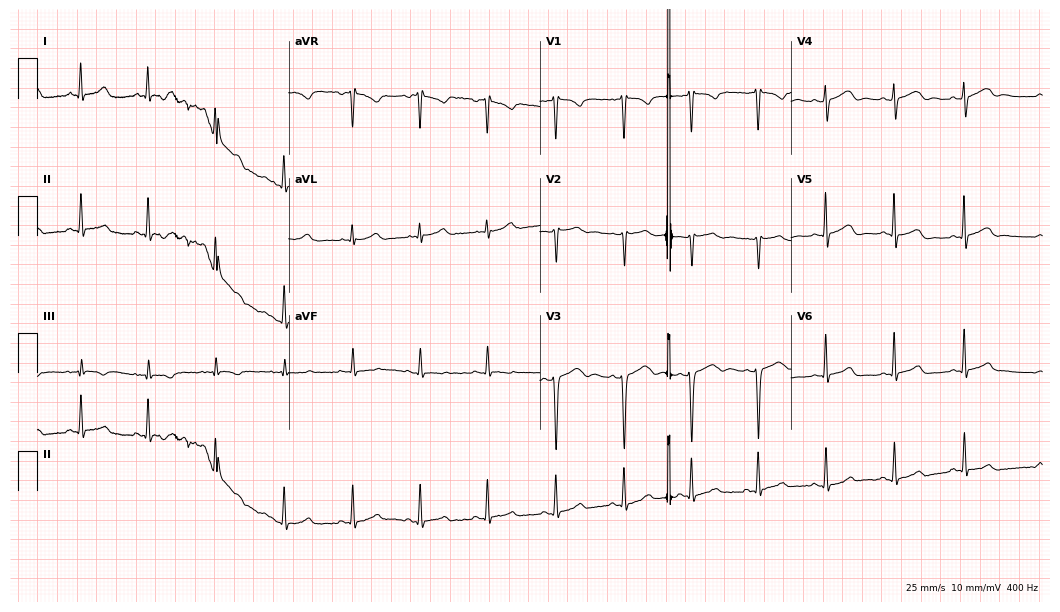
Standard 12-lead ECG recorded from a 42-year-old female patient. None of these six findings is recorded: first-degree AV block, right bundle branch block, left bundle branch block, sinus bradycardia, atrial fibrillation, sinus tachycardia. Only these six findings were labelled.